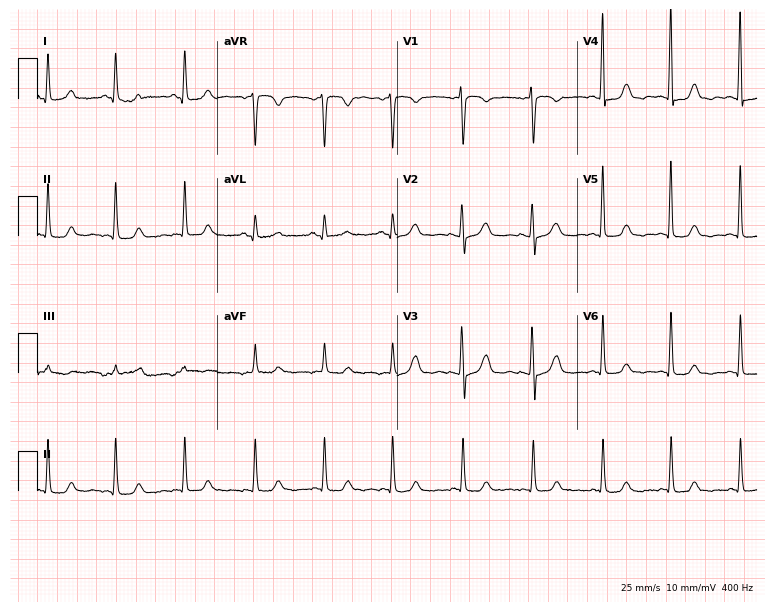
Standard 12-lead ECG recorded from a 56-year-old female (7.3-second recording at 400 Hz). Read as a normal ECG.